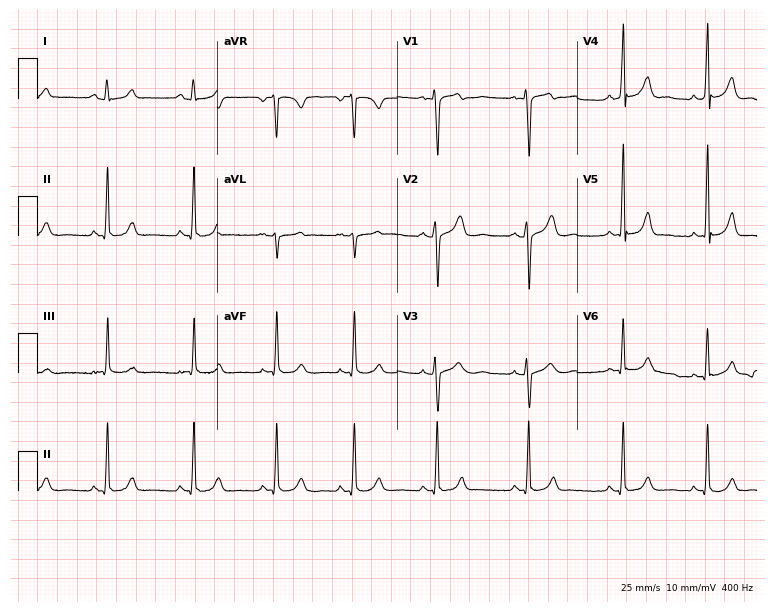
12-lead ECG from a 20-year-old female. Screened for six findings — first-degree AV block, right bundle branch block (RBBB), left bundle branch block (LBBB), sinus bradycardia, atrial fibrillation (AF), sinus tachycardia — none is recorded. Other findings, if any, are not listed.